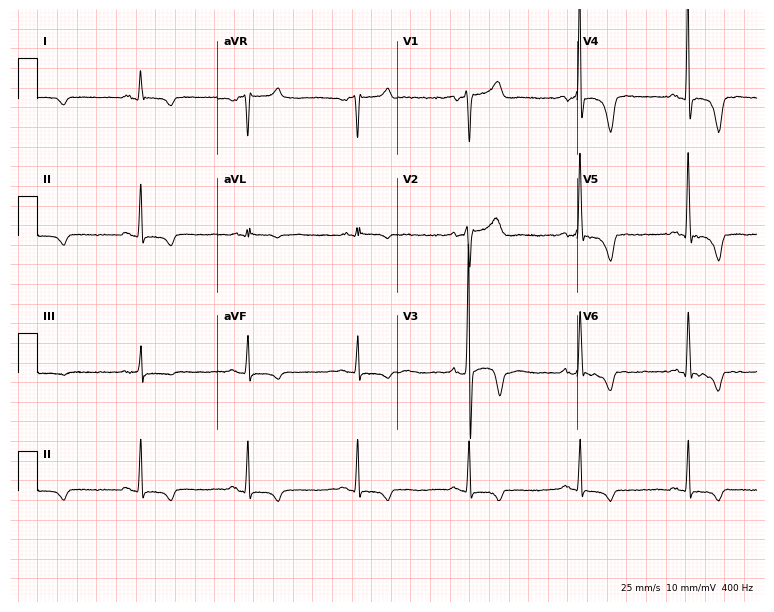
12-lead ECG from a 53-year-old man. Screened for six findings — first-degree AV block, right bundle branch block, left bundle branch block, sinus bradycardia, atrial fibrillation, sinus tachycardia — none is recorded. Findings outside these six are not listed.